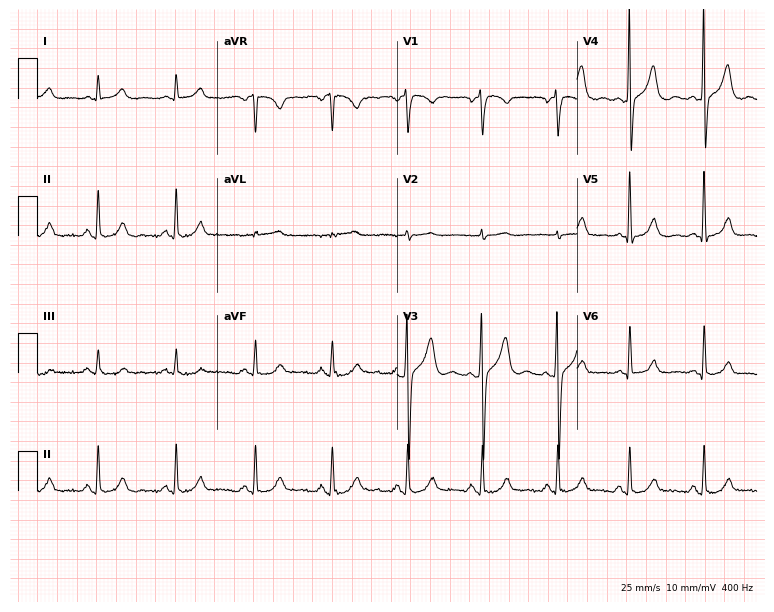
Electrocardiogram, a male patient, 54 years old. Overall reading on record: normal ECG.